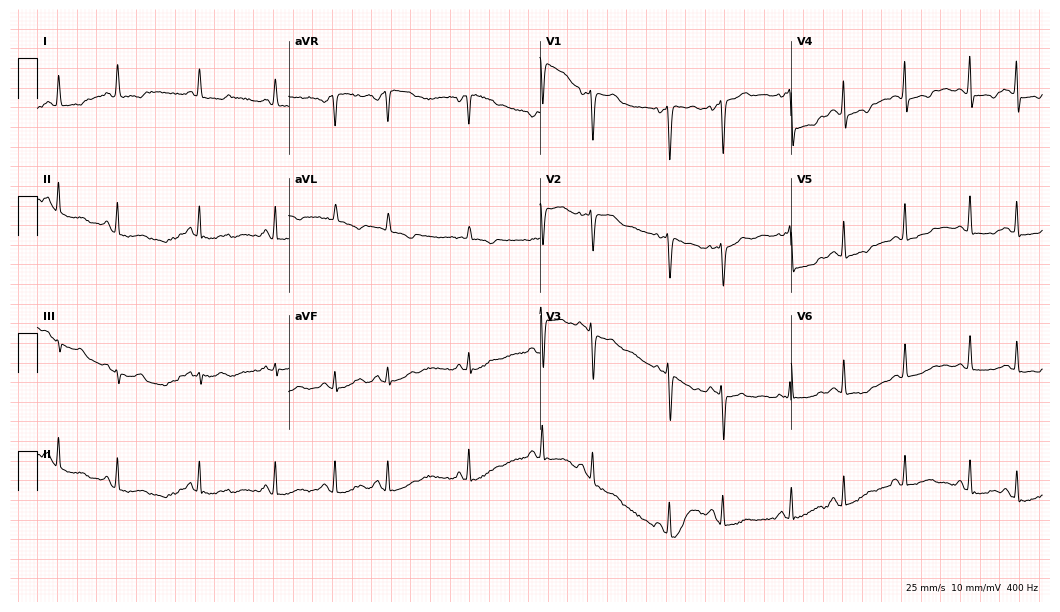
ECG — a female patient, 66 years old. Screened for six findings — first-degree AV block, right bundle branch block (RBBB), left bundle branch block (LBBB), sinus bradycardia, atrial fibrillation (AF), sinus tachycardia — none is recorded. Only these six findings were labelled.